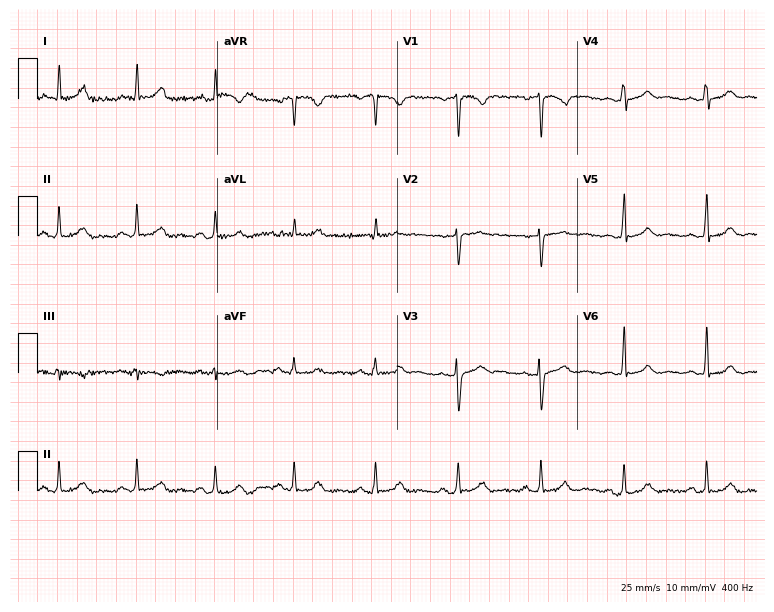
Electrocardiogram, a female, 42 years old. Of the six screened findings (first-degree AV block, right bundle branch block, left bundle branch block, sinus bradycardia, atrial fibrillation, sinus tachycardia), none is recorded.